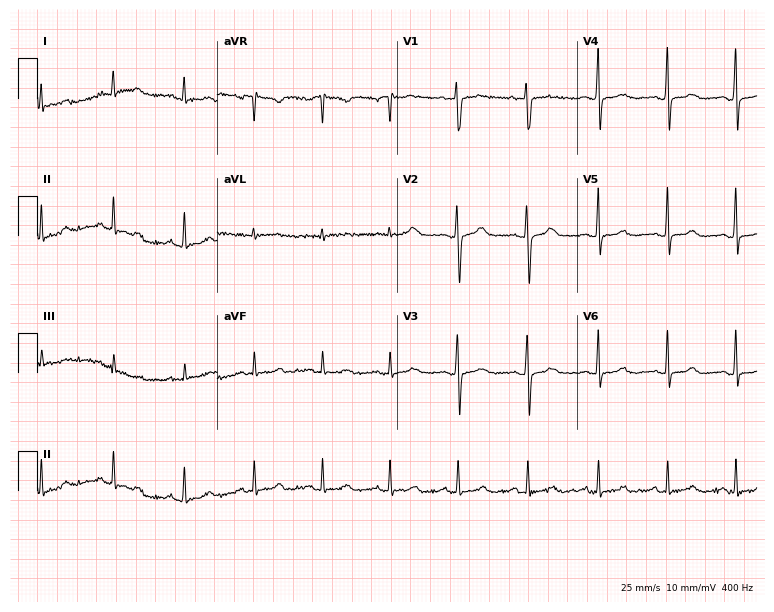
Resting 12-lead electrocardiogram. Patient: a female, 28 years old. None of these six findings is recorded: first-degree AV block, right bundle branch block (RBBB), left bundle branch block (LBBB), sinus bradycardia, atrial fibrillation (AF), sinus tachycardia. Findings outside these six are not listed.